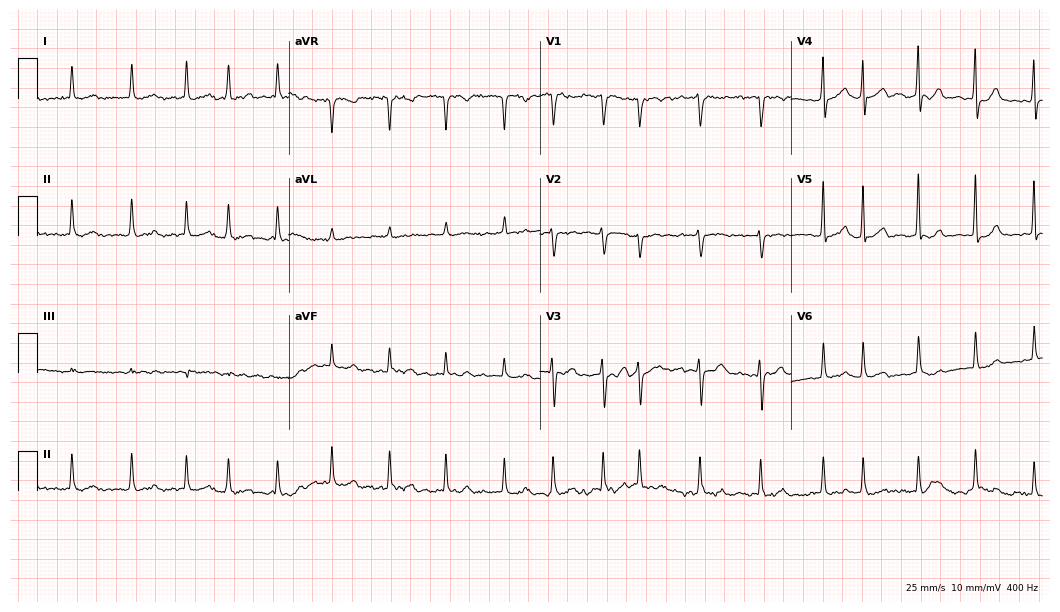
12-lead ECG from a 76-year-old female. Findings include atrial fibrillation.